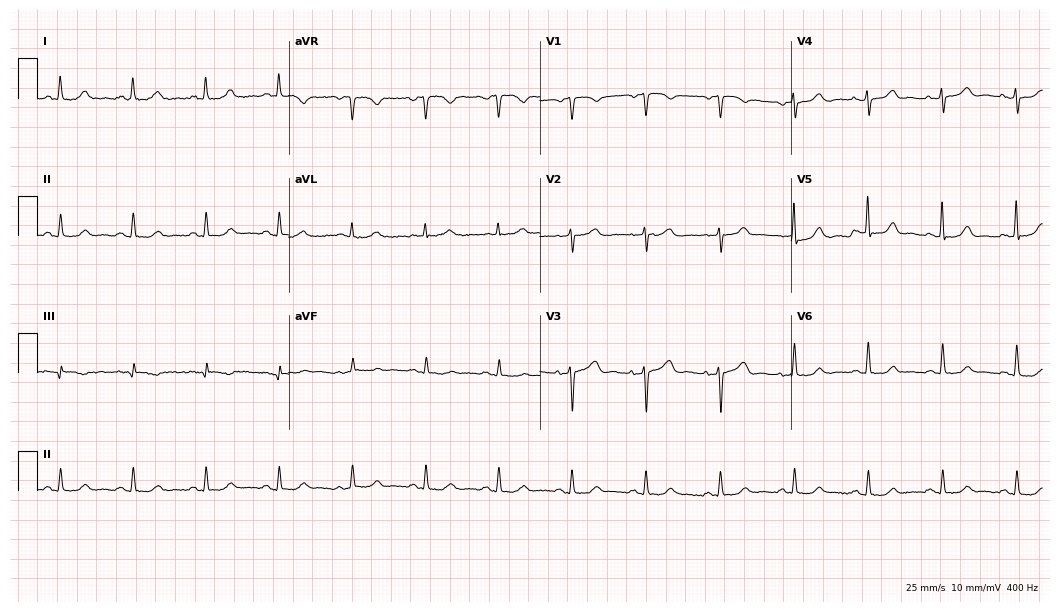
12-lead ECG (10.2-second recording at 400 Hz) from a 77-year-old woman. Labelled as a normal ECG.